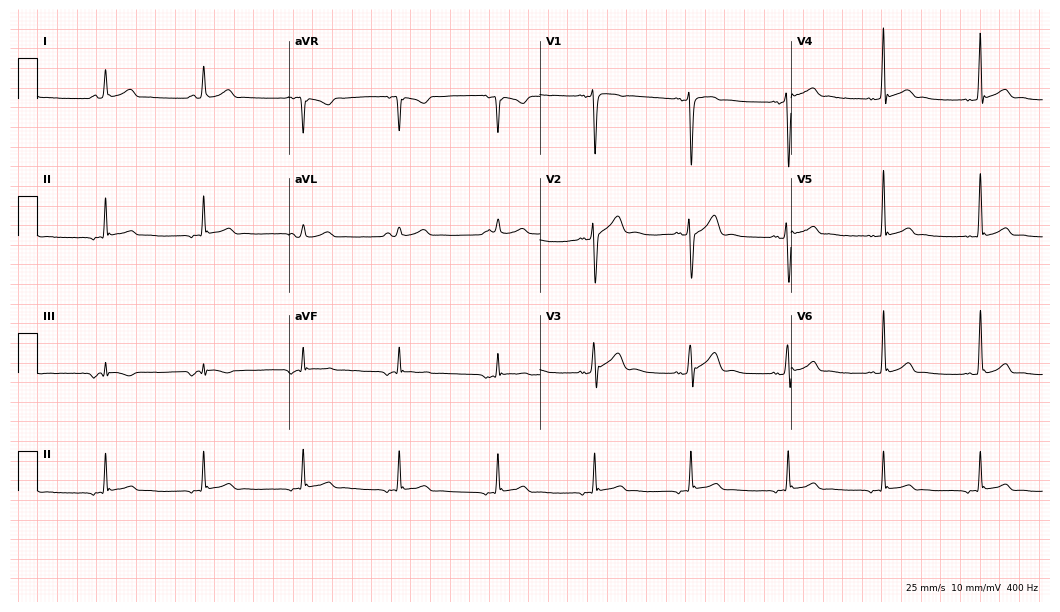
ECG (10.2-second recording at 400 Hz) — a man, 40 years old. Screened for six findings — first-degree AV block, right bundle branch block, left bundle branch block, sinus bradycardia, atrial fibrillation, sinus tachycardia — none is recorded.